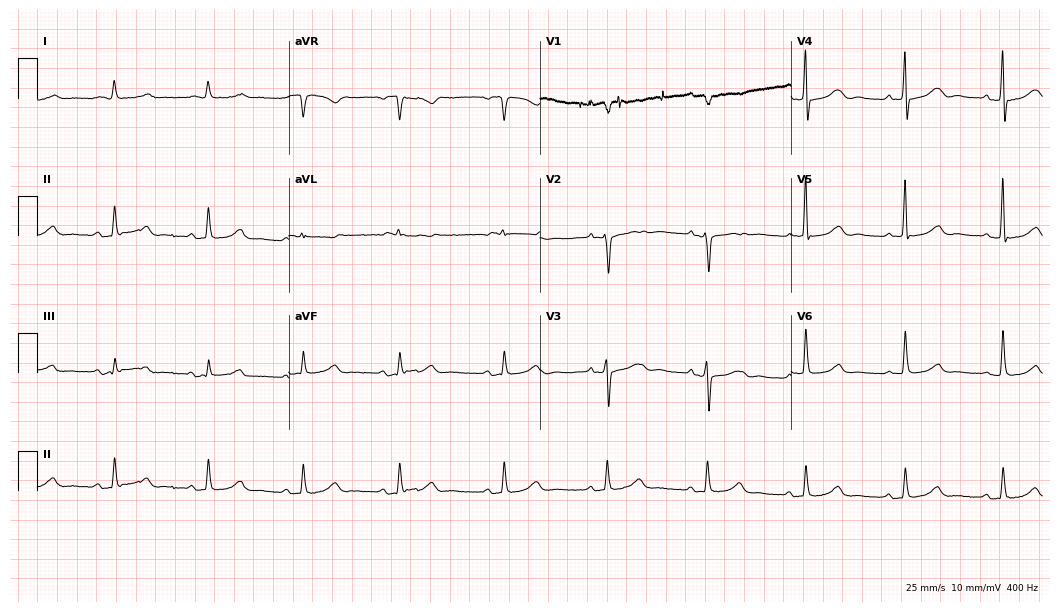
12-lead ECG from a female, 73 years old. Recorded interpretation: within normal limits.